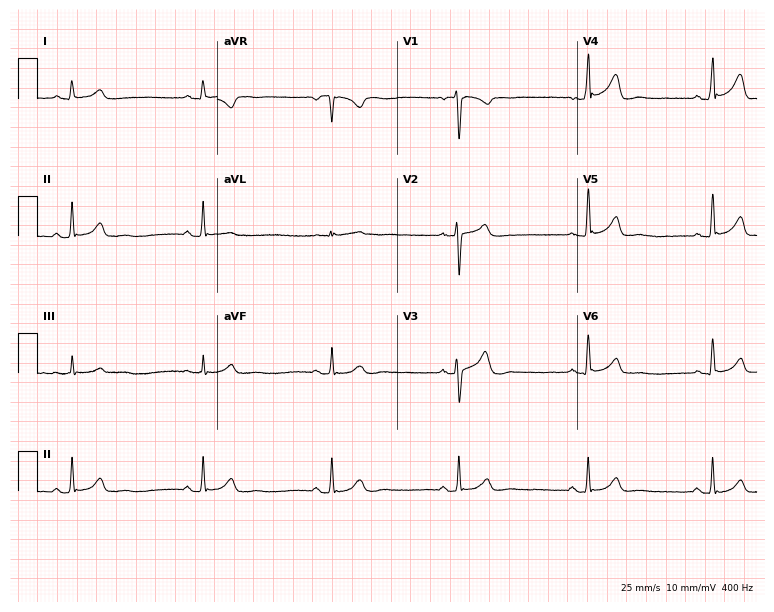
Electrocardiogram, a female, 48 years old. Interpretation includes sinus bradycardia (a sinus rate of 50 beats per minute or less).